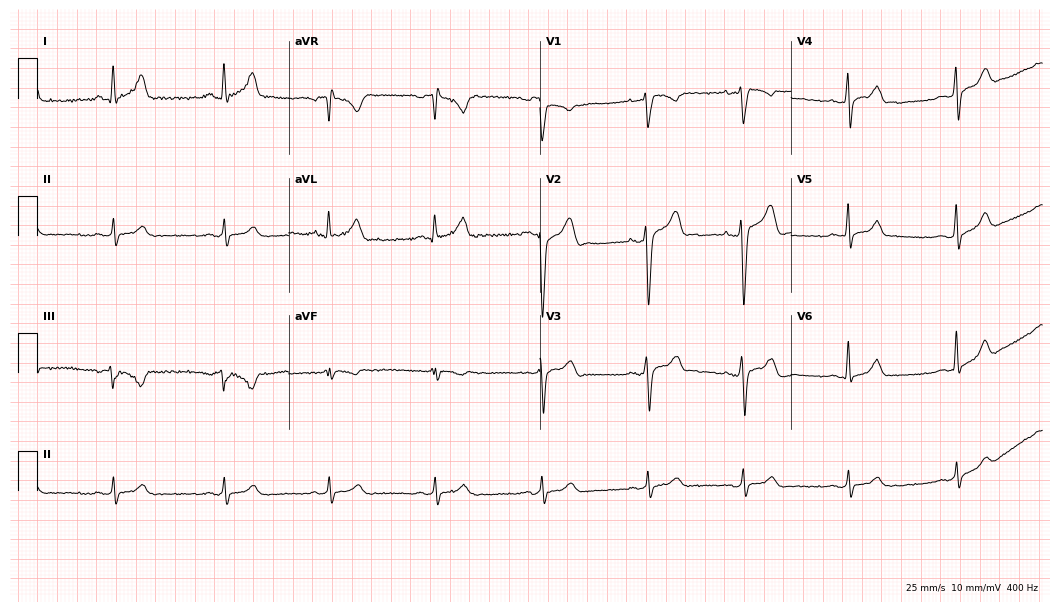
12-lead ECG from a male patient, 29 years old. Recorded interpretation: within normal limits.